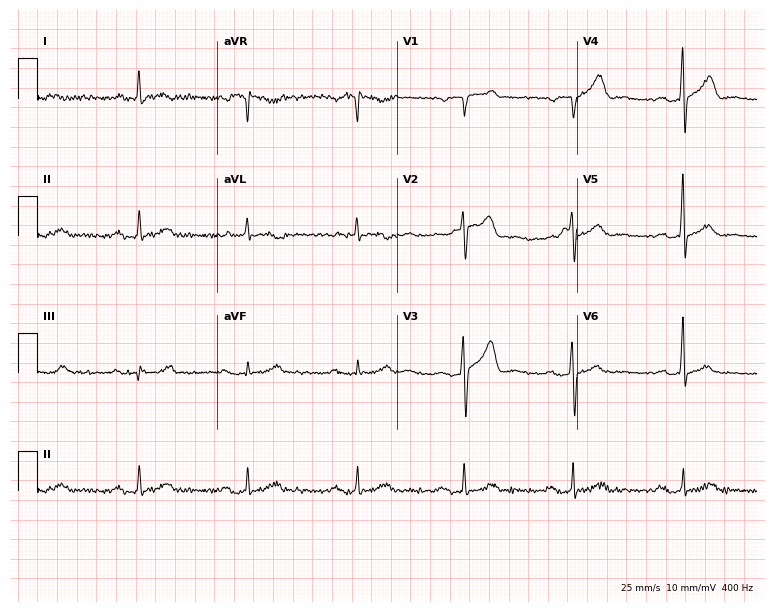
Electrocardiogram (7.3-second recording at 400 Hz), a 67-year-old man. Interpretation includes first-degree AV block.